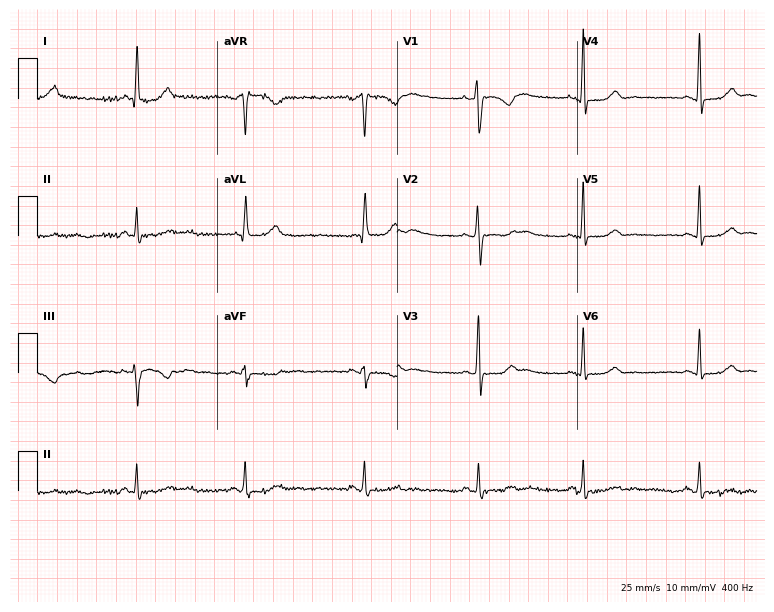
Standard 12-lead ECG recorded from a 29-year-old female patient (7.3-second recording at 400 Hz). None of these six findings is recorded: first-degree AV block, right bundle branch block (RBBB), left bundle branch block (LBBB), sinus bradycardia, atrial fibrillation (AF), sinus tachycardia.